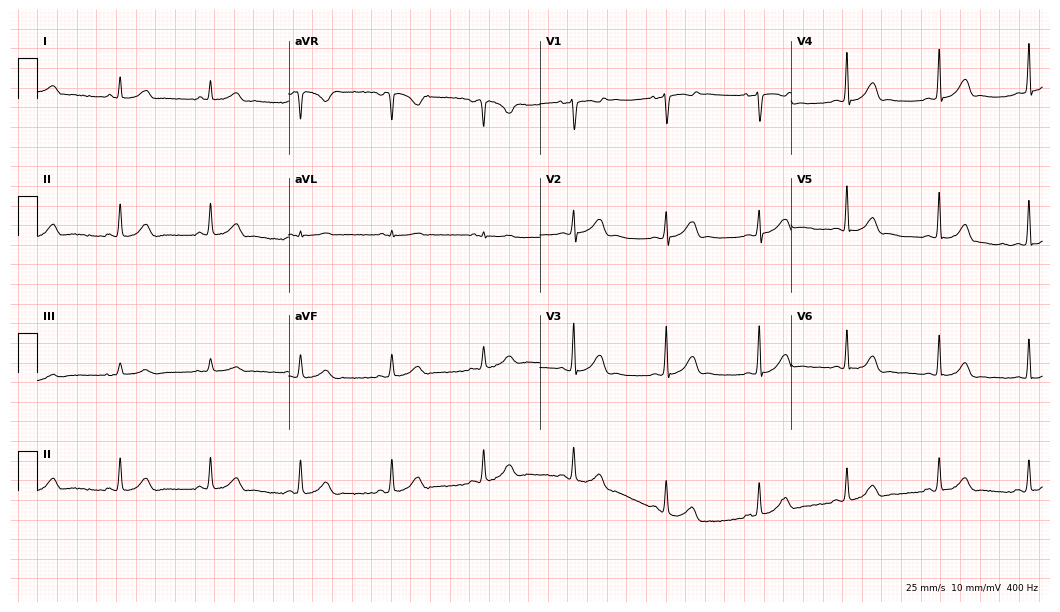
Resting 12-lead electrocardiogram (10.2-second recording at 400 Hz). Patient: a 30-year-old female. Read as a normal ECG.